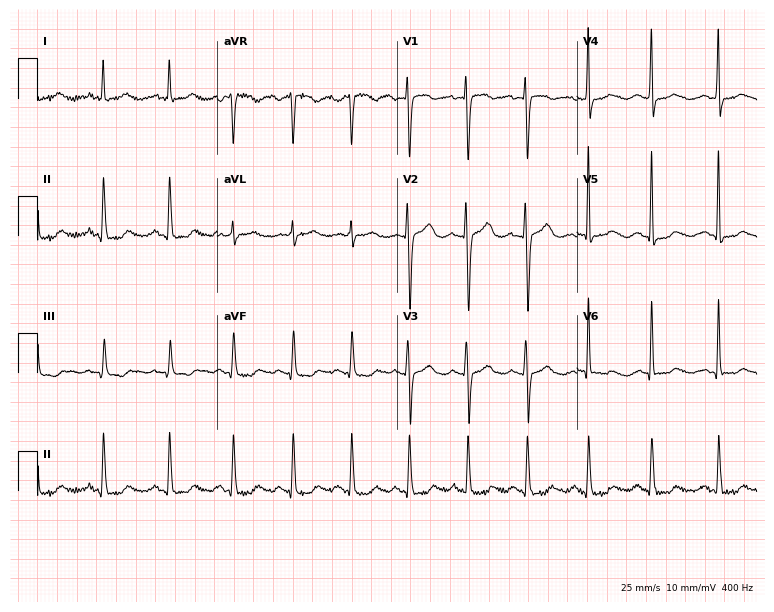
Resting 12-lead electrocardiogram (7.3-second recording at 400 Hz). Patient: a 45-year-old female. None of these six findings is recorded: first-degree AV block, right bundle branch block, left bundle branch block, sinus bradycardia, atrial fibrillation, sinus tachycardia.